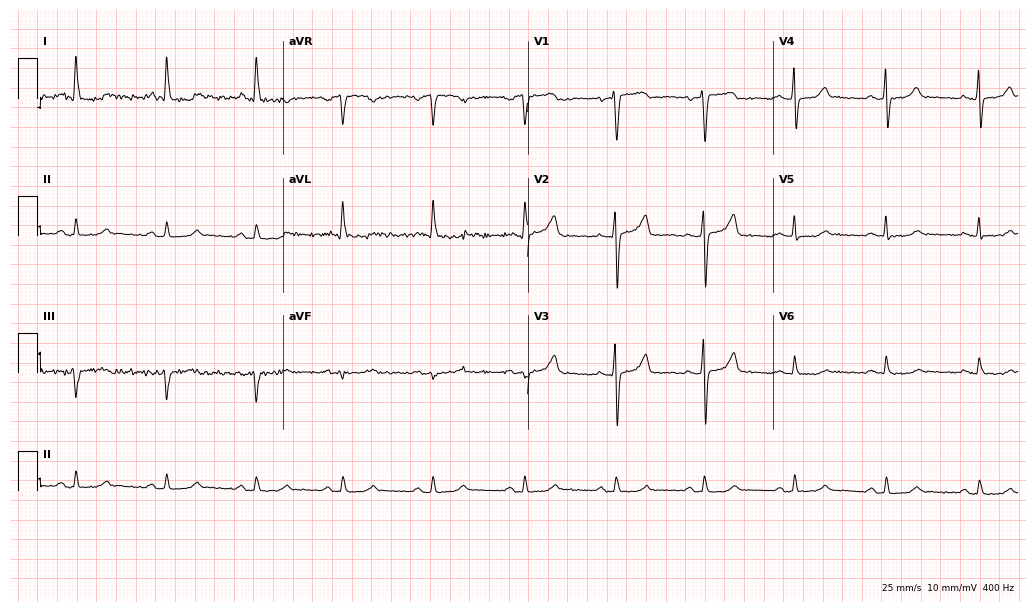
12-lead ECG from a woman, 53 years old. Screened for six findings — first-degree AV block, right bundle branch block, left bundle branch block, sinus bradycardia, atrial fibrillation, sinus tachycardia — none is recorded.